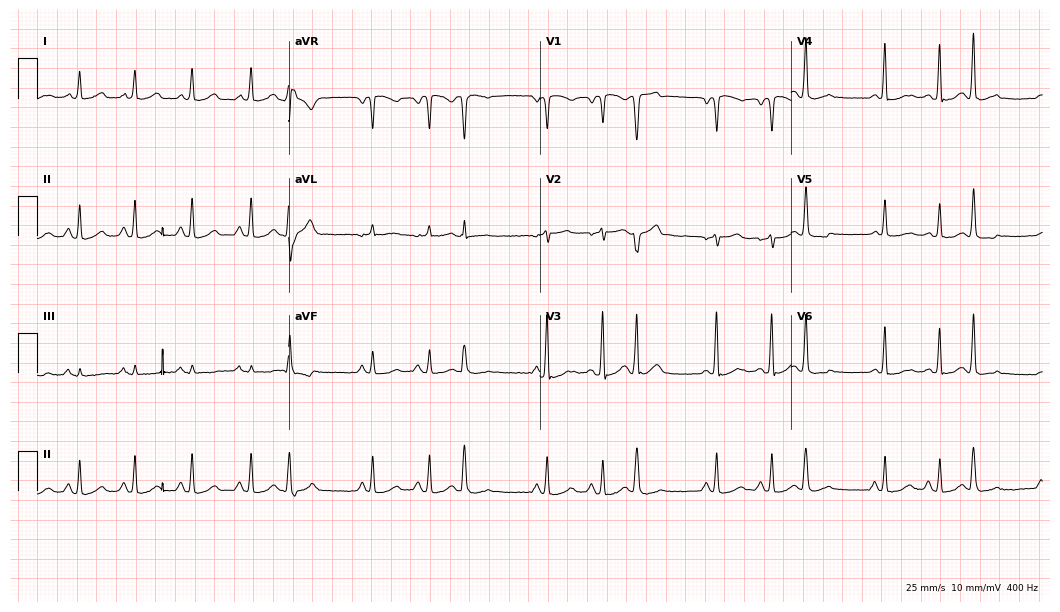
Resting 12-lead electrocardiogram (10.2-second recording at 400 Hz). Patient: a 41-year-old female. The tracing shows sinus tachycardia (a sinus rate of 100 beats per minute or more).